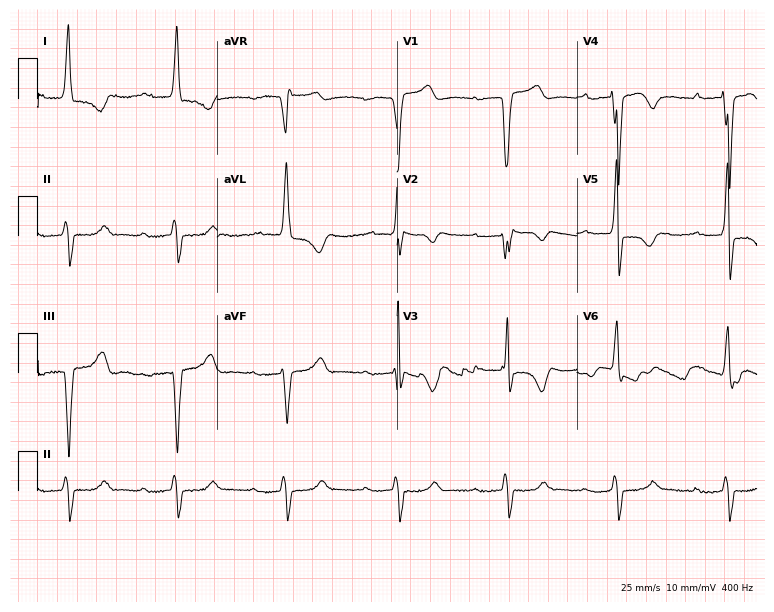
Standard 12-lead ECG recorded from a male, 83 years old. The tracing shows left bundle branch block.